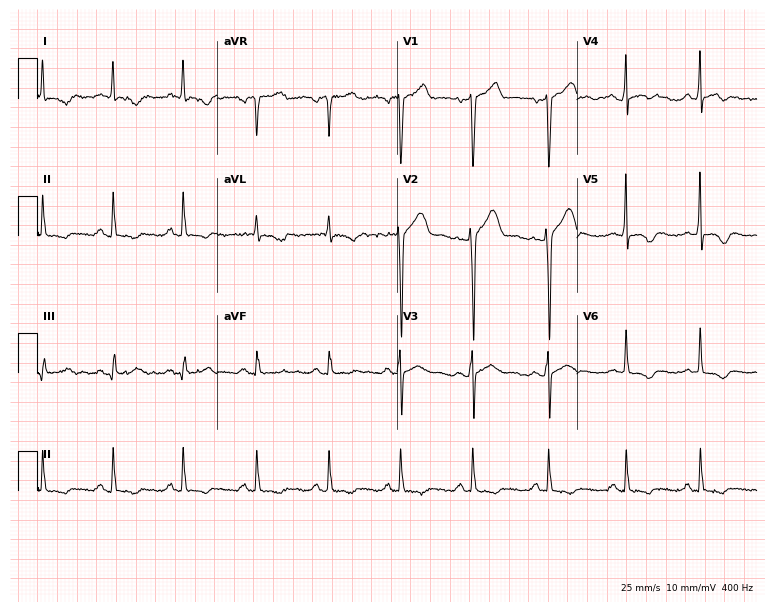
12-lead ECG from a 42-year-old male. Screened for six findings — first-degree AV block, right bundle branch block, left bundle branch block, sinus bradycardia, atrial fibrillation, sinus tachycardia — none is recorded. Findings outside these six are not listed.